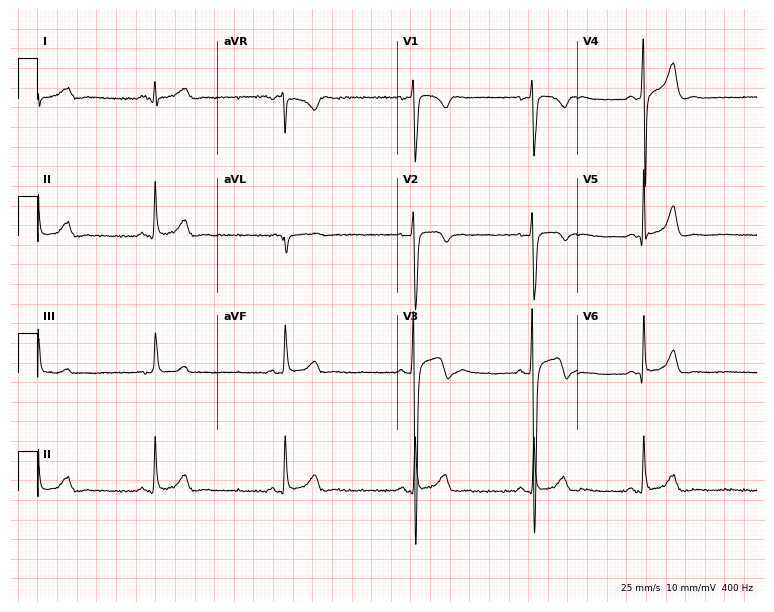
Electrocardiogram, a 26-year-old male. Of the six screened findings (first-degree AV block, right bundle branch block, left bundle branch block, sinus bradycardia, atrial fibrillation, sinus tachycardia), none is recorded.